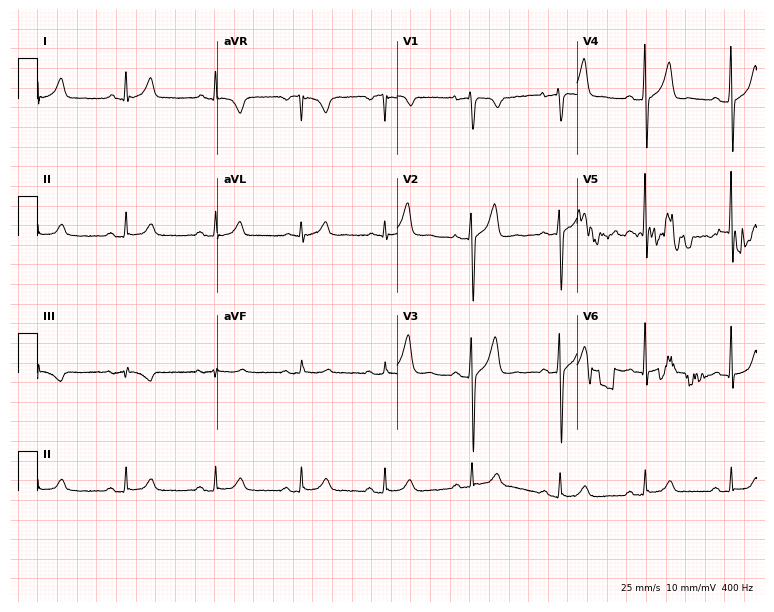
12-lead ECG from a male, 40 years old. Recorded interpretation: within normal limits.